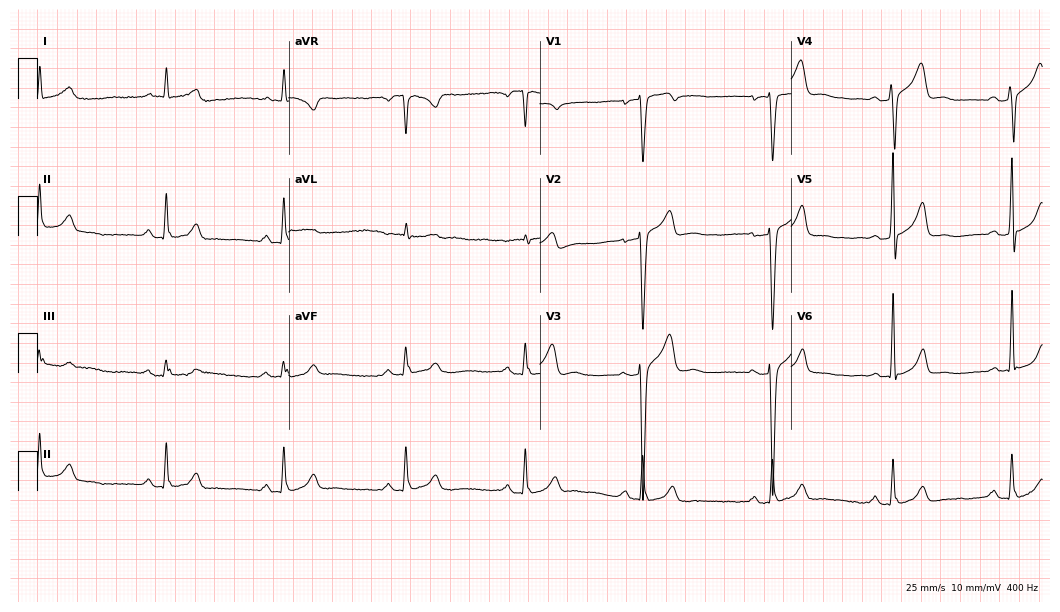
Standard 12-lead ECG recorded from a male, 35 years old (10.2-second recording at 400 Hz). None of these six findings is recorded: first-degree AV block, right bundle branch block, left bundle branch block, sinus bradycardia, atrial fibrillation, sinus tachycardia. Other findings, if any, are not listed.